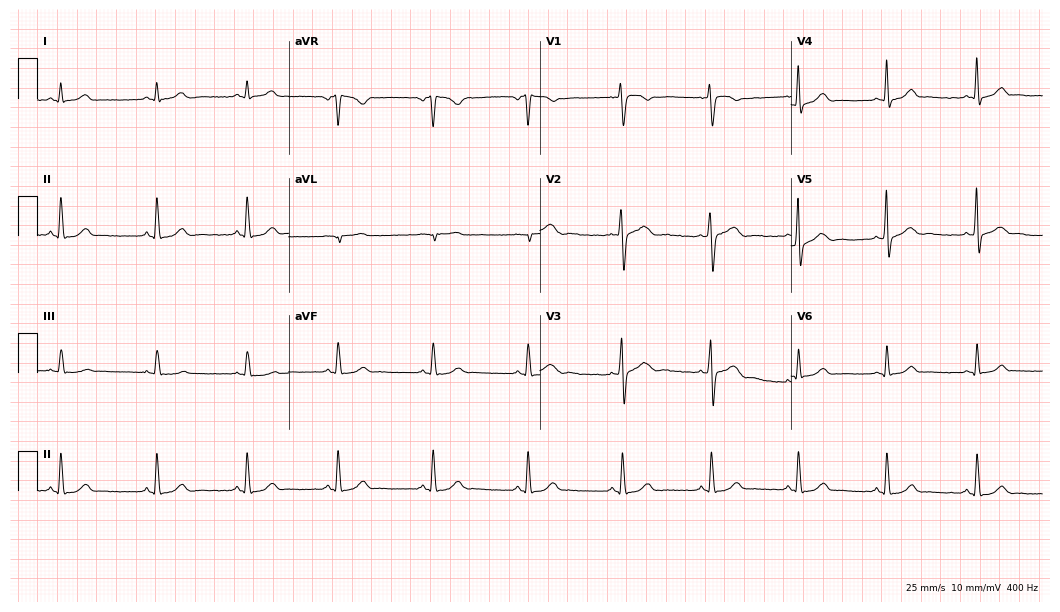
Electrocardiogram (10.2-second recording at 400 Hz), a woman, 30 years old. Of the six screened findings (first-degree AV block, right bundle branch block (RBBB), left bundle branch block (LBBB), sinus bradycardia, atrial fibrillation (AF), sinus tachycardia), none is recorded. Findings outside these six are not listed.